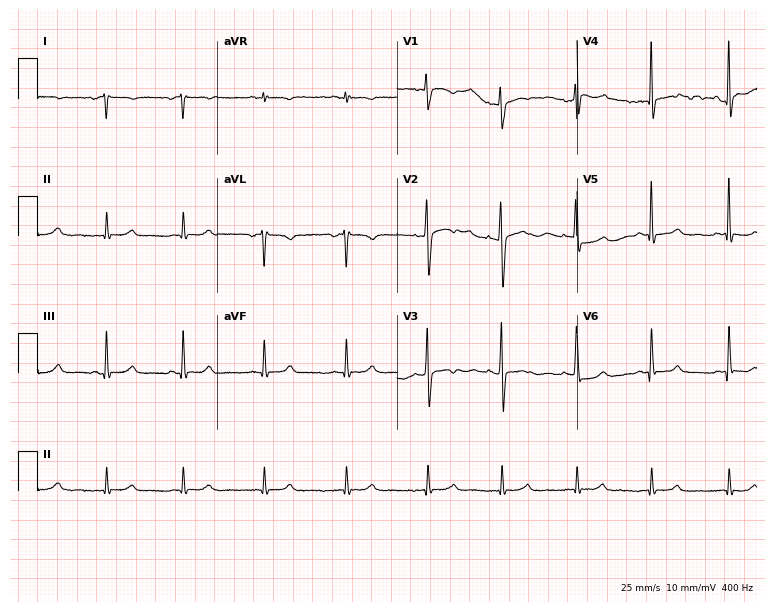
12-lead ECG from a 32-year-old female (7.3-second recording at 400 Hz). No first-degree AV block, right bundle branch block (RBBB), left bundle branch block (LBBB), sinus bradycardia, atrial fibrillation (AF) or sinus tachycardia recorded for this tracing.